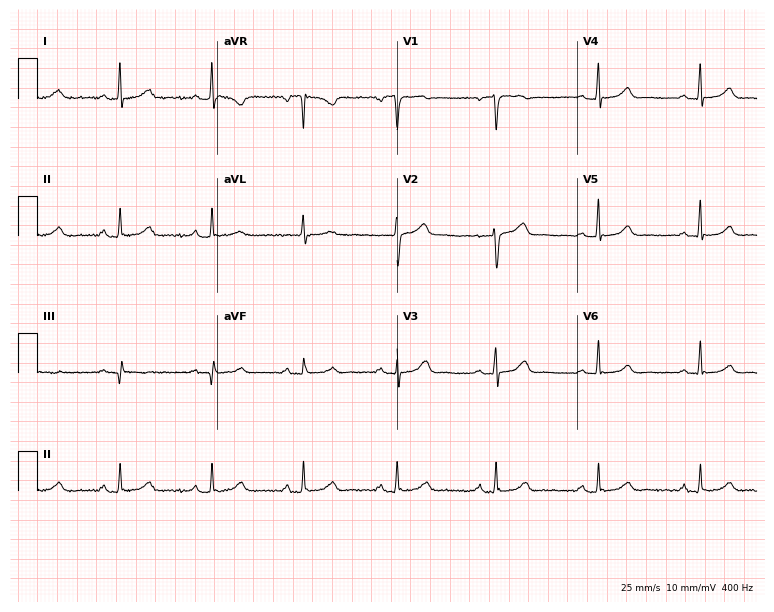
ECG — a 53-year-old female patient. Labelled as a normal ECG.